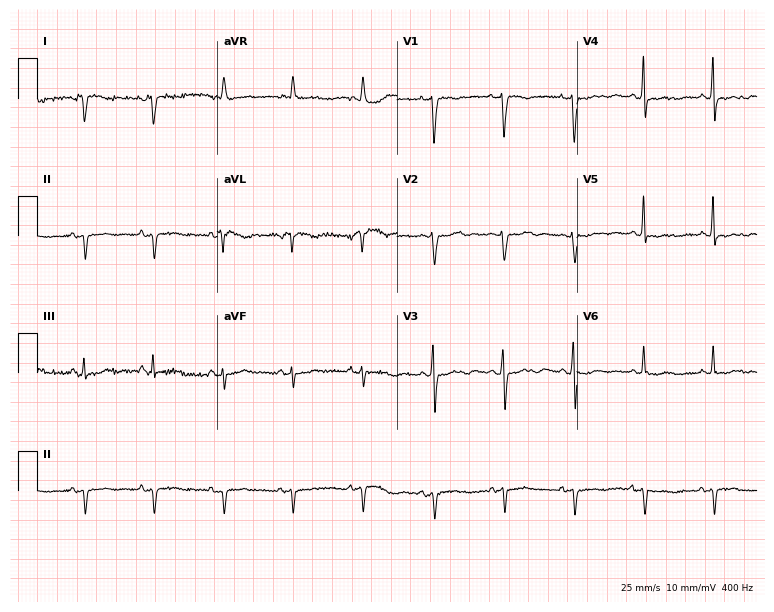
Electrocardiogram, a female patient, 70 years old. Of the six screened findings (first-degree AV block, right bundle branch block, left bundle branch block, sinus bradycardia, atrial fibrillation, sinus tachycardia), none is recorded.